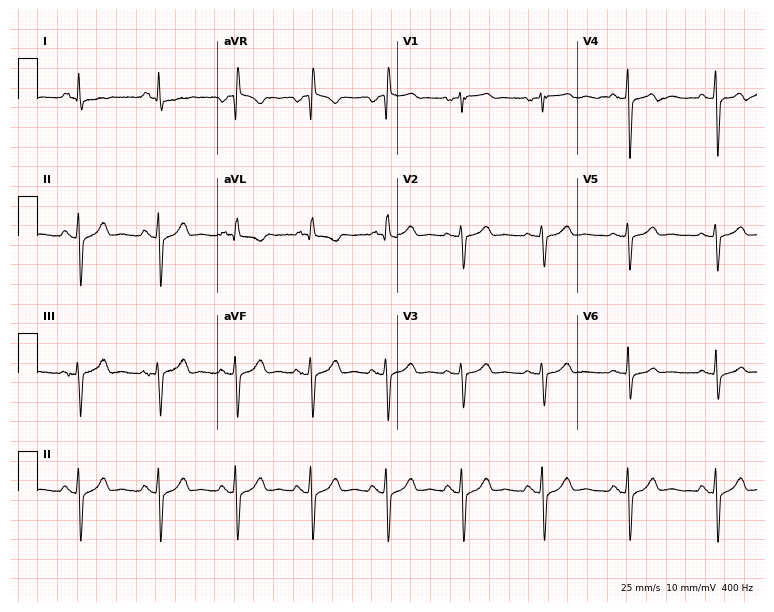
12-lead ECG from a 45-year-old male patient. Screened for six findings — first-degree AV block, right bundle branch block, left bundle branch block, sinus bradycardia, atrial fibrillation, sinus tachycardia — none is recorded.